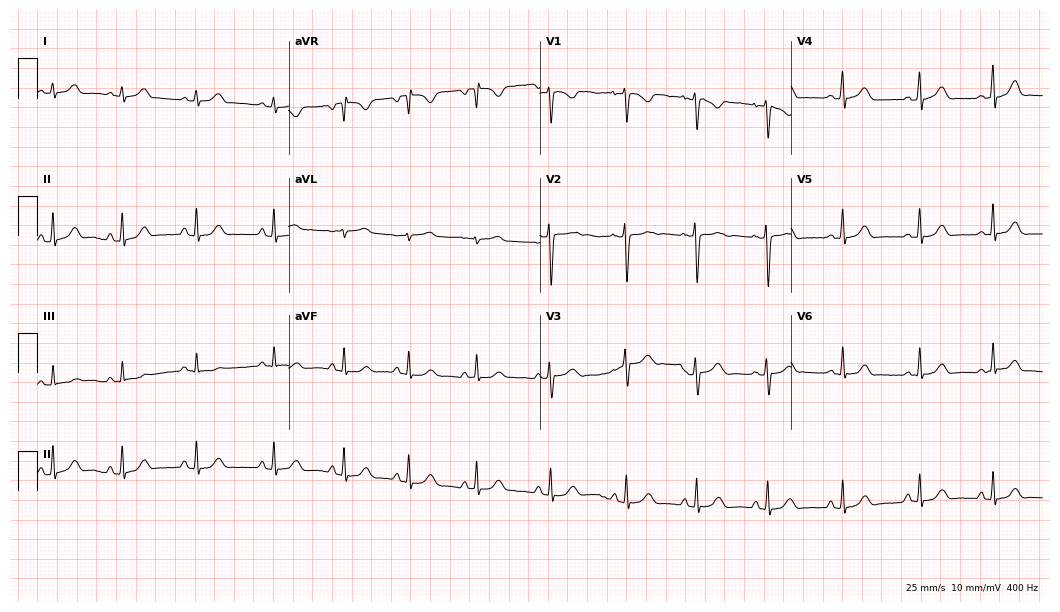
Resting 12-lead electrocardiogram. Patient: a 17-year-old woman. Read as a normal ECG.